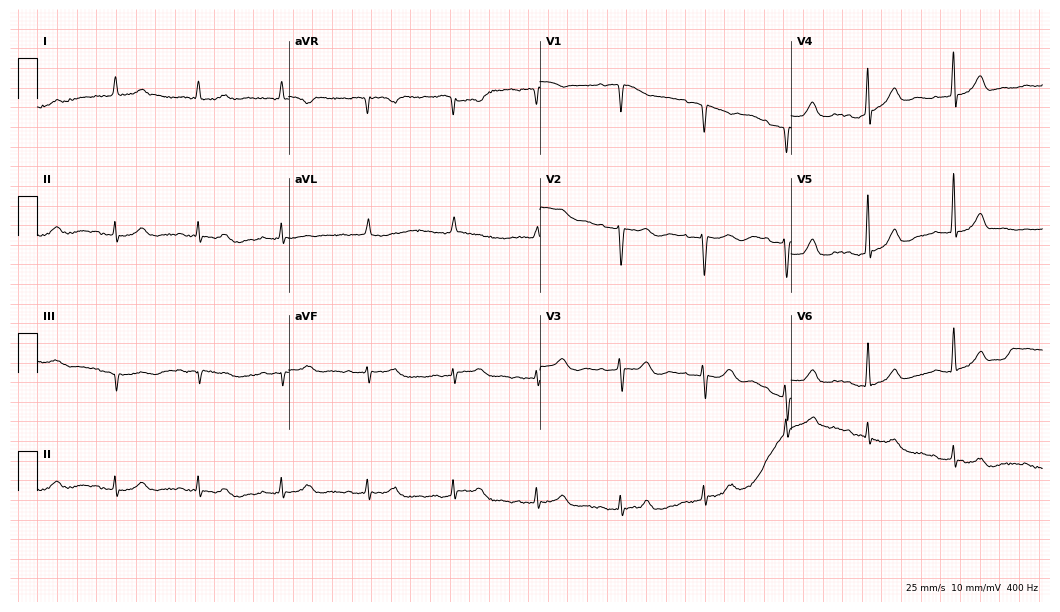
Standard 12-lead ECG recorded from a 79-year-old female. None of these six findings is recorded: first-degree AV block, right bundle branch block, left bundle branch block, sinus bradycardia, atrial fibrillation, sinus tachycardia. Only these six findings were labelled.